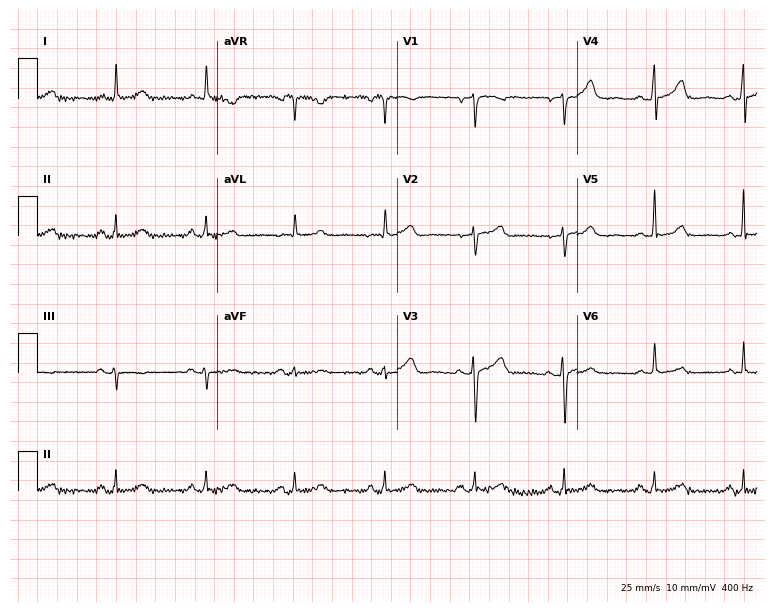
12-lead ECG from a 56-year-old female patient. Recorded interpretation: within normal limits.